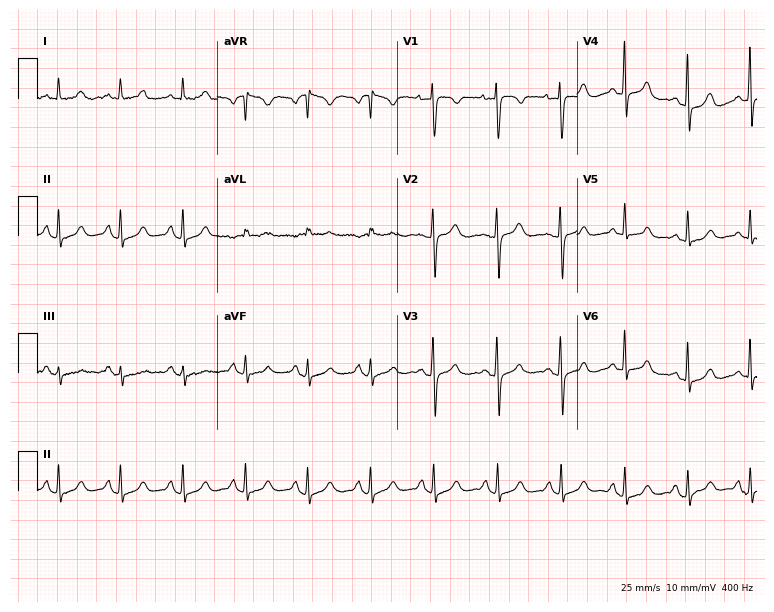
Standard 12-lead ECG recorded from a female, 42 years old. Read as a normal ECG.